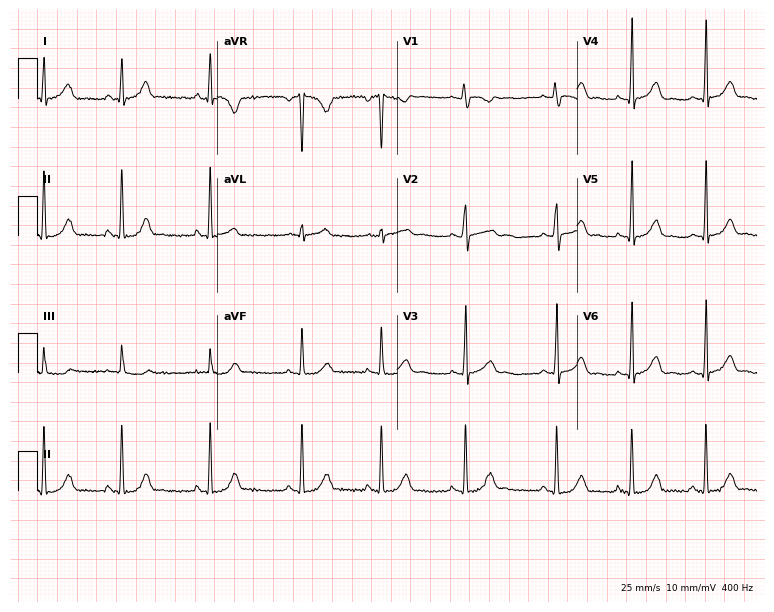
Electrocardiogram (7.3-second recording at 400 Hz), a 19-year-old woman. Overall reading on record: normal ECG.